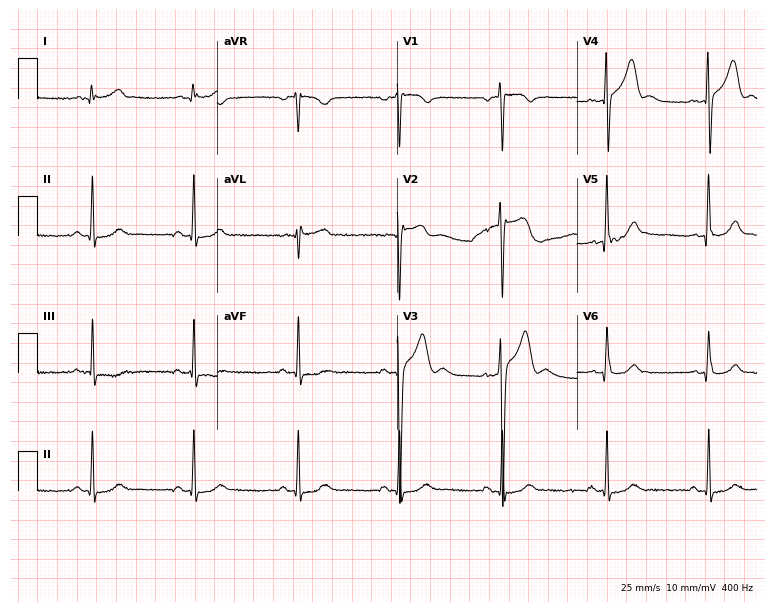
Electrocardiogram, a 46-year-old man. Overall reading on record: normal ECG.